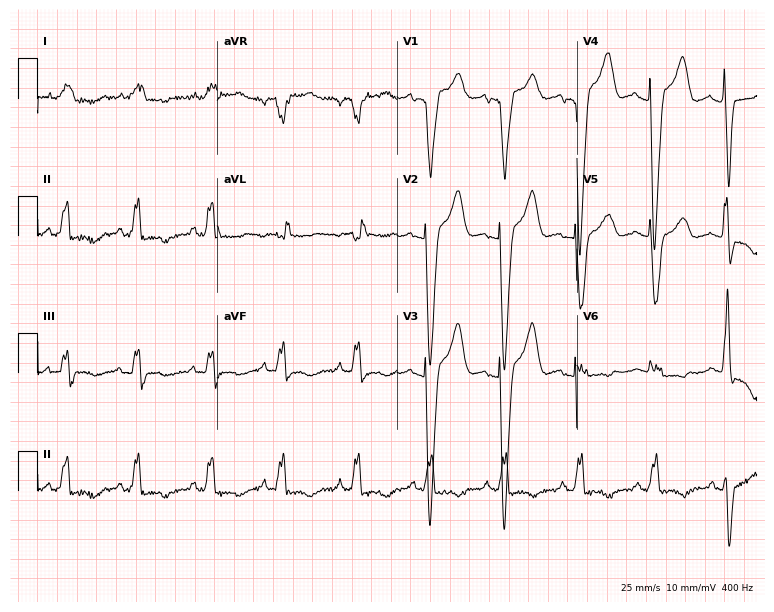
Electrocardiogram, a female patient, 68 years old. Interpretation includes left bundle branch block.